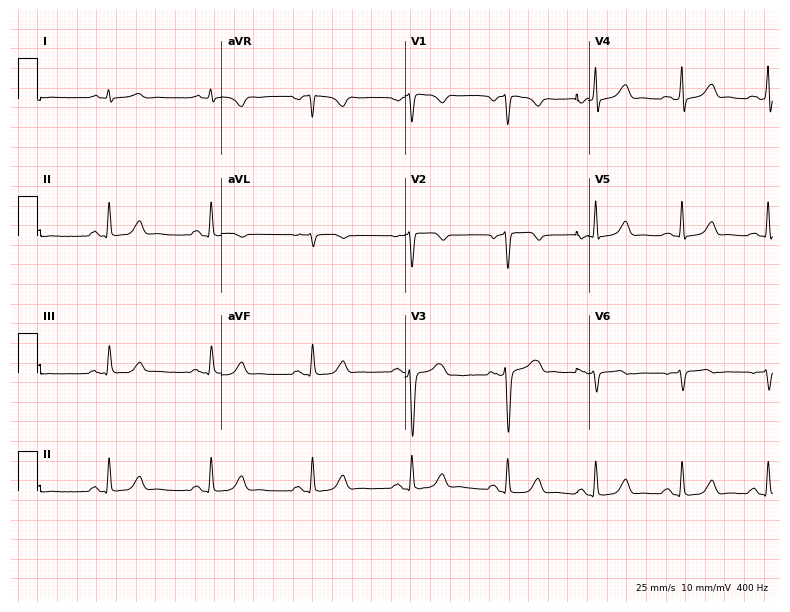
12-lead ECG from a male, 49 years old (7.5-second recording at 400 Hz). Recorded interpretation: within normal limits.